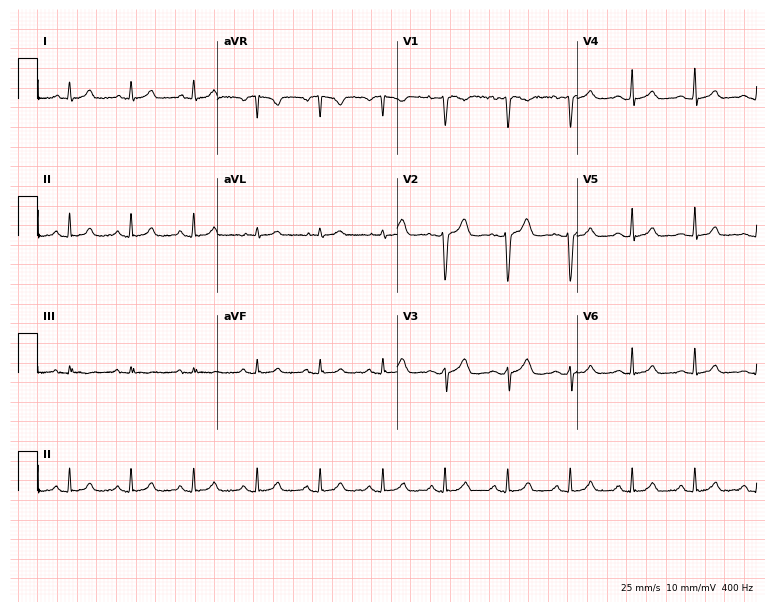
12-lead ECG (7.3-second recording at 400 Hz) from a 19-year-old woman. Labelled as a normal ECG.